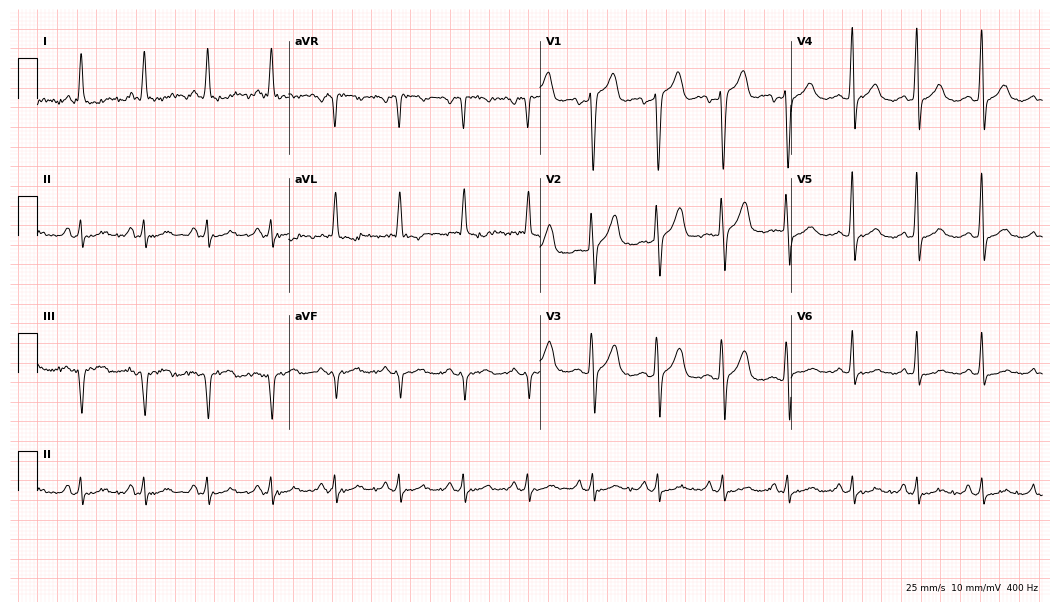
Standard 12-lead ECG recorded from a 62-year-old man. None of these six findings is recorded: first-degree AV block, right bundle branch block (RBBB), left bundle branch block (LBBB), sinus bradycardia, atrial fibrillation (AF), sinus tachycardia. Findings outside these six are not listed.